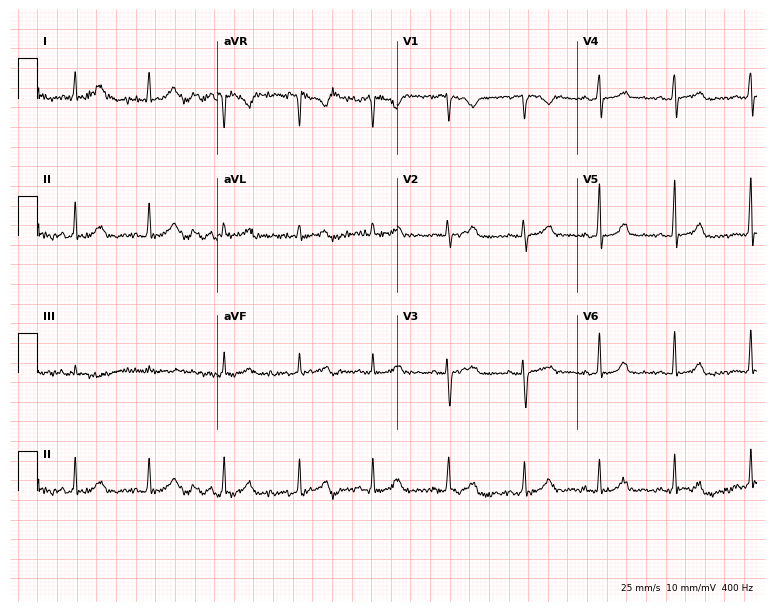
Electrocardiogram (7.3-second recording at 400 Hz), a female patient, 48 years old. Overall reading on record: normal ECG.